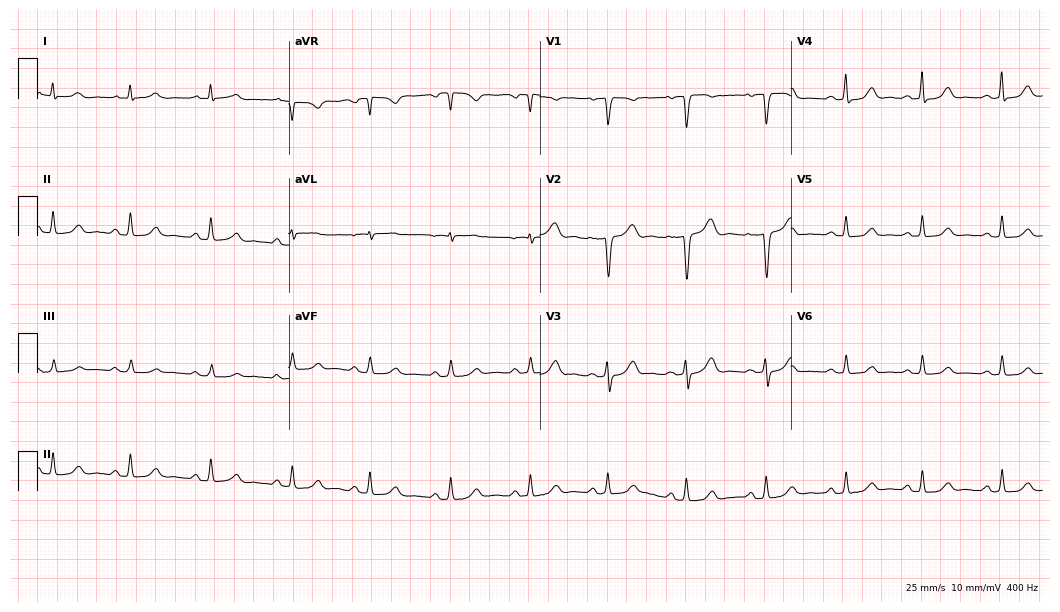
Electrocardiogram, a 37-year-old female. Of the six screened findings (first-degree AV block, right bundle branch block, left bundle branch block, sinus bradycardia, atrial fibrillation, sinus tachycardia), none is recorded.